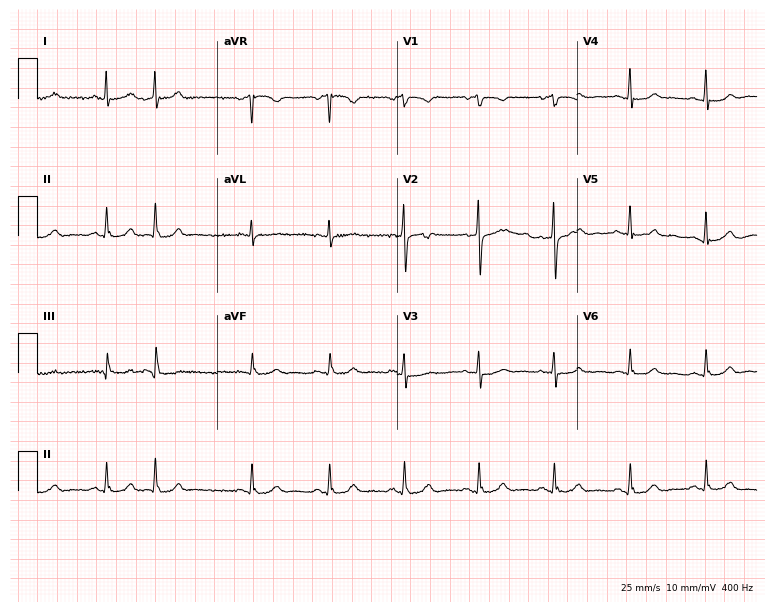
Electrocardiogram, a woman, 65 years old. Of the six screened findings (first-degree AV block, right bundle branch block (RBBB), left bundle branch block (LBBB), sinus bradycardia, atrial fibrillation (AF), sinus tachycardia), none is recorded.